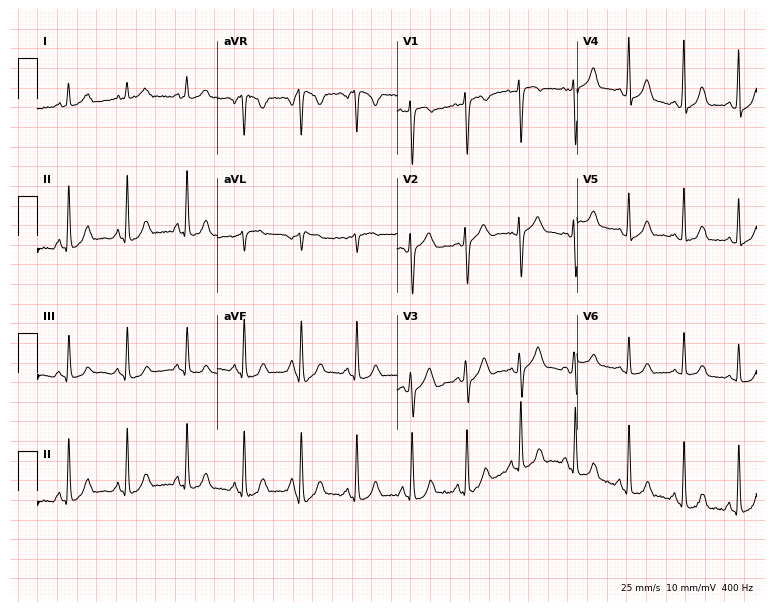
12-lead ECG from a female patient, 27 years old (7.3-second recording at 400 Hz). Shows sinus tachycardia (a sinus rate of 100 beats per minute or more).